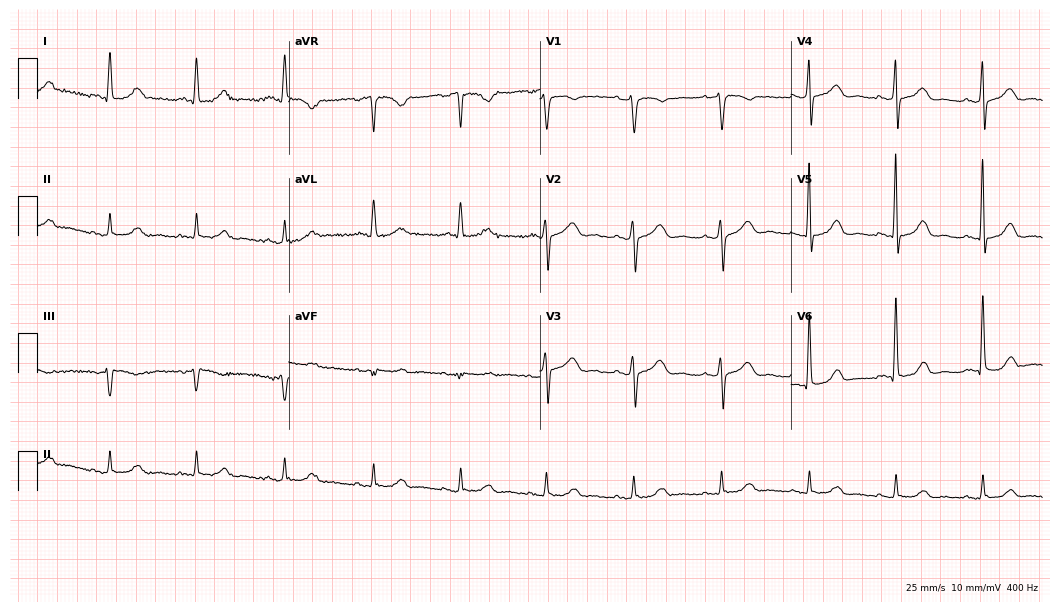
12-lead ECG from a female, 64 years old. Labelled as a normal ECG.